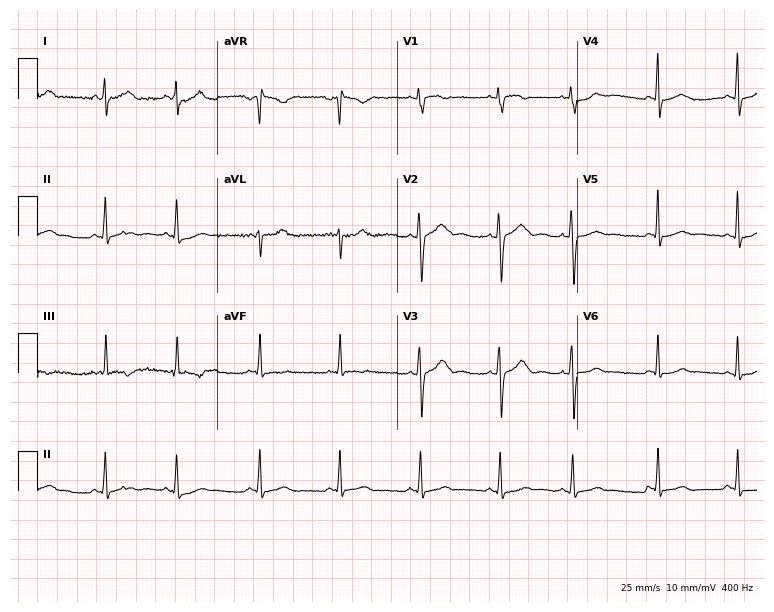
Standard 12-lead ECG recorded from a 34-year-old female. Read as a normal ECG.